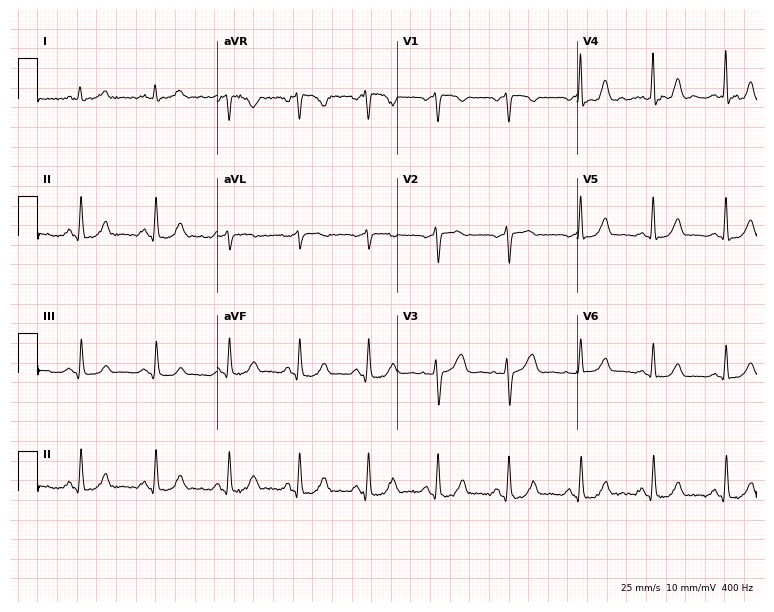
Resting 12-lead electrocardiogram (7.3-second recording at 400 Hz). Patient: a female, 58 years old. None of these six findings is recorded: first-degree AV block, right bundle branch block, left bundle branch block, sinus bradycardia, atrial fibrillation, sinus tachycardia.